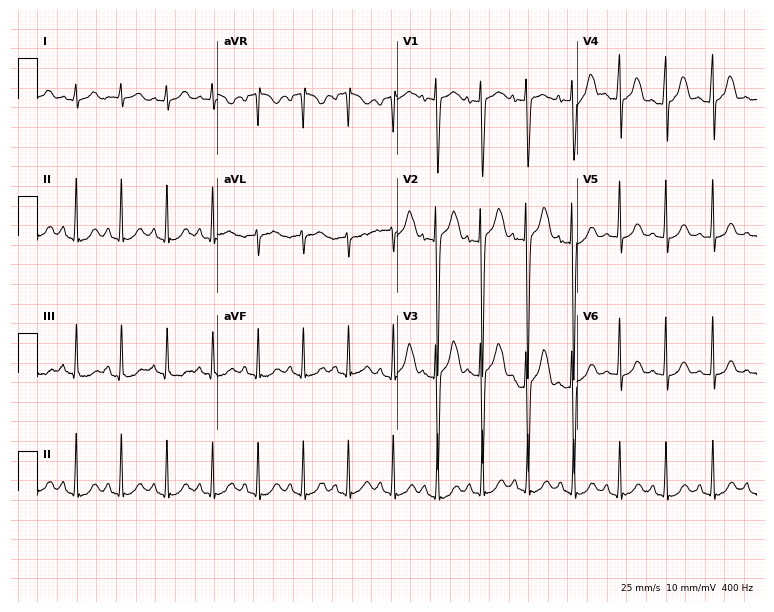
12-lead ECG from a male, 17 years old. No first-degree AV block, right bundle branch block, left bundle branch block, sinus bradycardia, atrial fibrillation or sinus tachycardia recorded for this tracing.